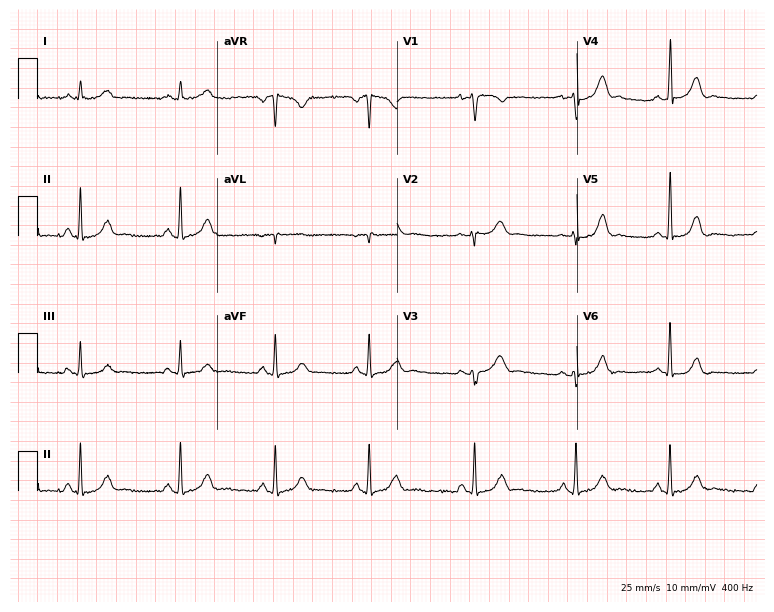
Resting 12-lead electrocardiogram. Patient: a female, 22 years old. Read as a normal ECG.